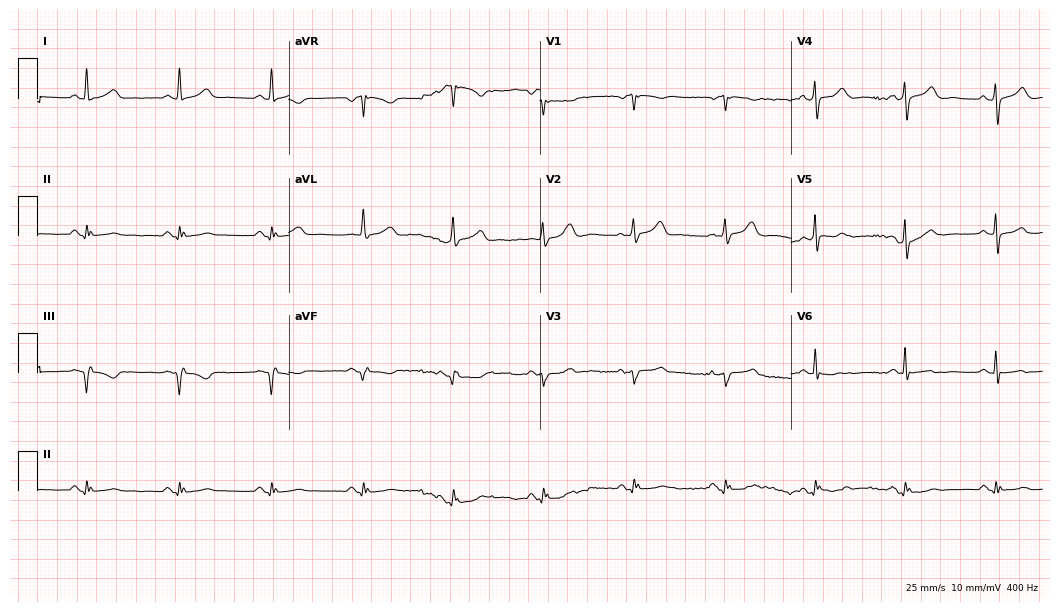
Resting 12-lead electrocardiogram (10.2-second recording at 400 Hz). Patient: a man, 86 years old. None of these six findings is recorded: first-degree AV block, right bundle branch block, left bundle branch block, sinus bradycardia, atrial fibrillation, sinus tachycardia.